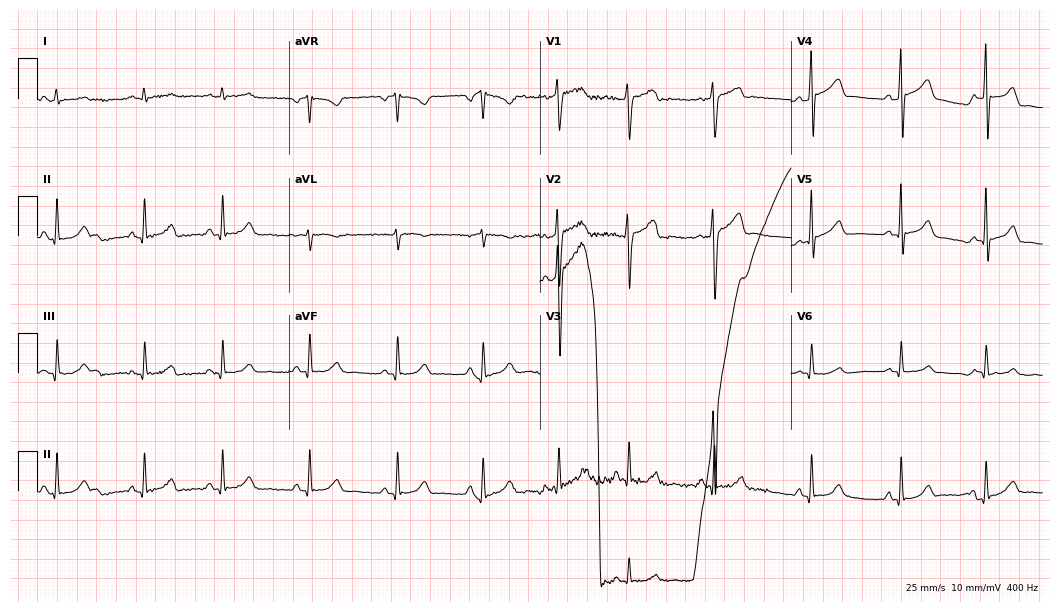
12-lead ECG from a male, 21 years old (10.2-second recording at 400 Hz). Recorded interpretation: within normal limits.